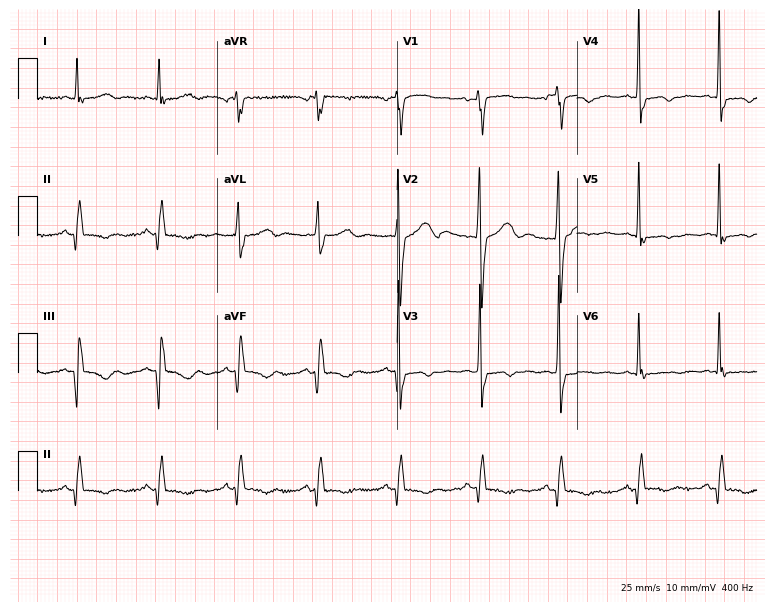
Standard 12-lead ECG recorded from a woman, 50 years old. None of these six findings is recorded: first-degree AV block, right bundle branch block, left bundle branch block, sinus bradycardia, atrial fibrillation, sinus tachycardia.